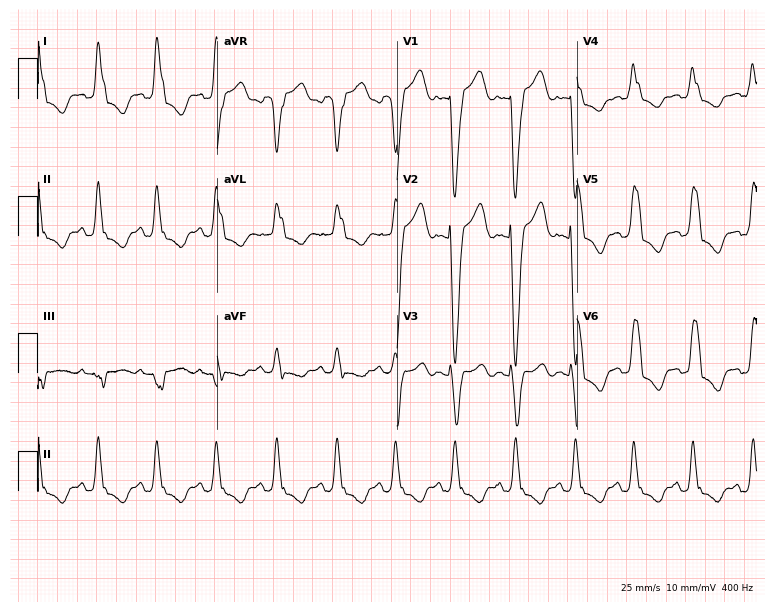
Resting 12-lead electrocardiogram (7.3-second recording at 400 Hz). Patient: a female, 74 years old. The tracing shows left bundle branch block.